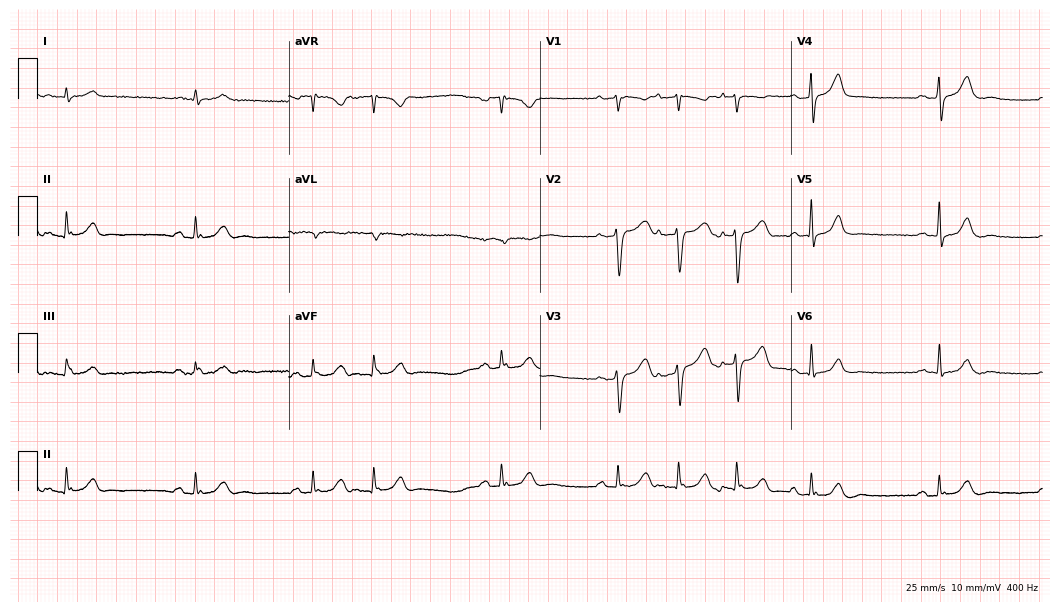
Standard 12-lead ECG recorded from an 86-year-old male. None of these six findings is recorded: first-degree AV block, right bundle branch block, left bundle branch block, sinus bradycardia, atrial fibrillation, sinus tachycardia.